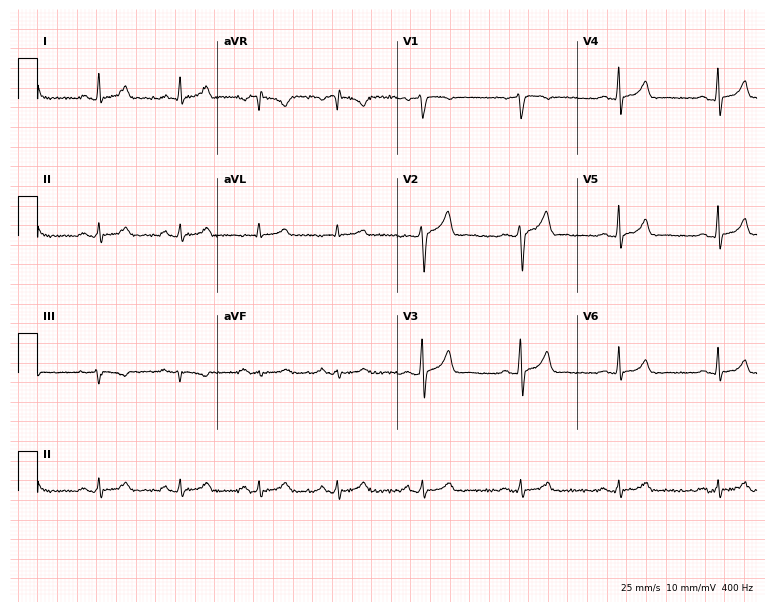
ECG (7.3-second recording at 400 Hz) — a 39-year-old man. Labelled as a normal ECG.